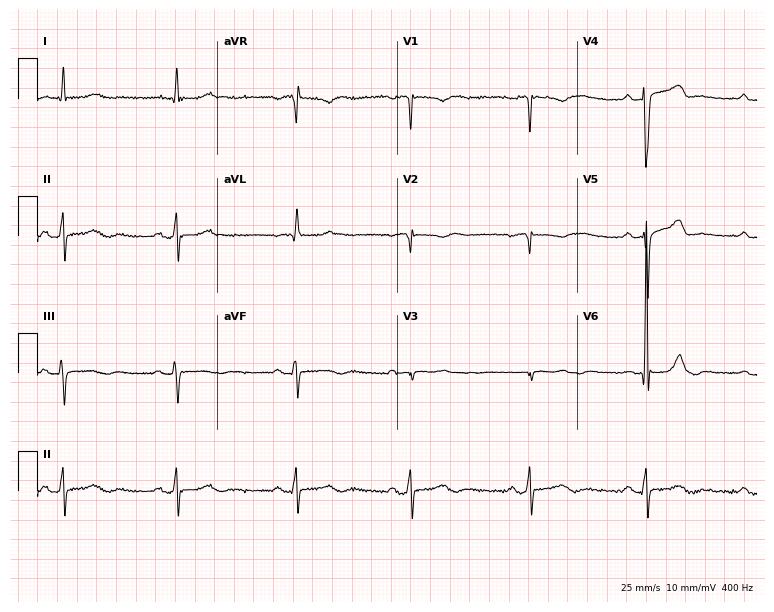
ECG — an 80-year-old male. Screened for six findings — first-degree AV block, right bundle branch block, left bundle branch block, sinus bradycardia, atrial fibrillation, sinus tachycardia — none is recorded.